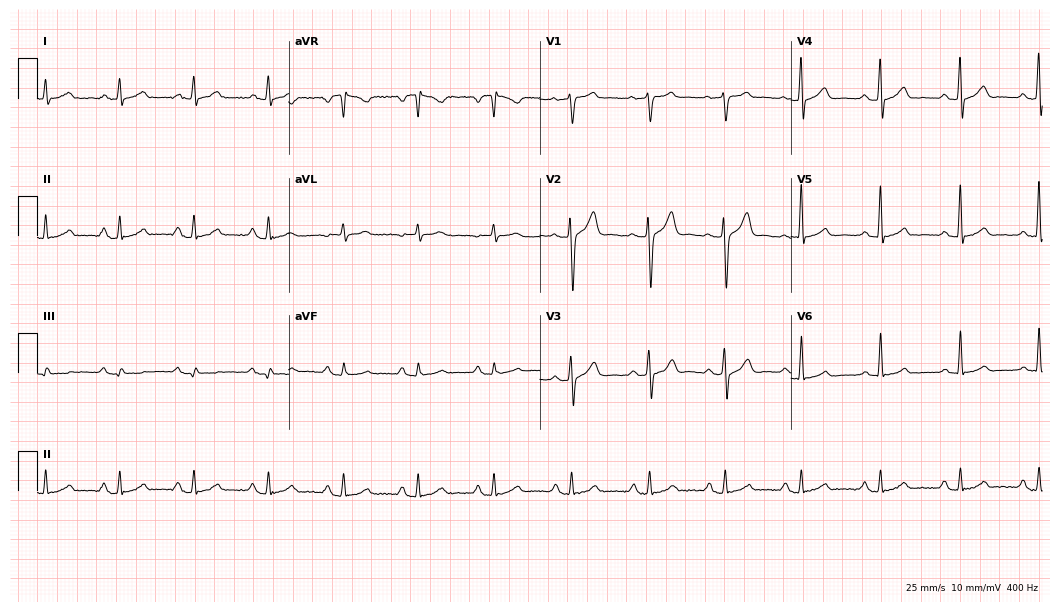
12-lead ECG from a male, 47 years old. Screened for six findings — first-degree AV block, right bundle branch block, left bundle branch block, sinus bradycardia, atrial fibrillation, sinus tachycardia — none is recorded. Only these six findings were labelled.